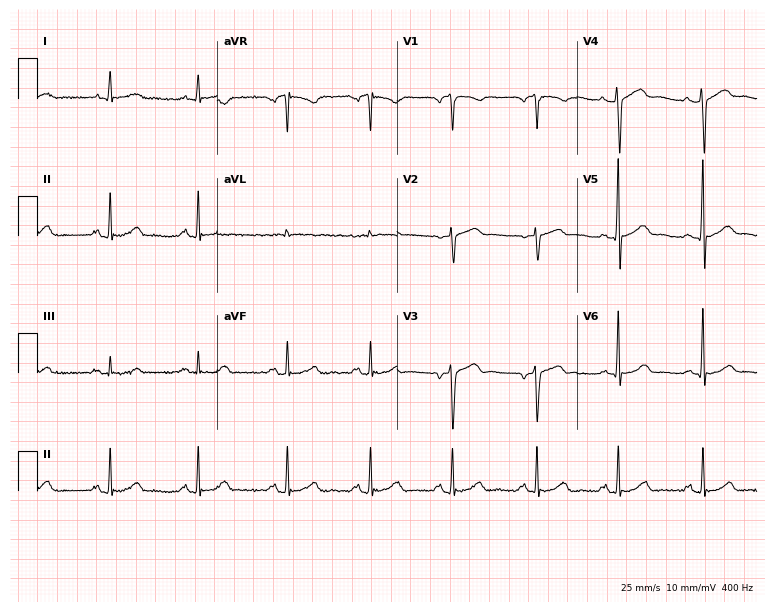
12-lead ECG from a male, 59 years old. No first-degree AV block, right bundle branch block (RBBB), left bundle branch block (LBBB), sinus bradycardia, atrial fibrillation (AF) or sinus tachycardia recorded for this tracing.